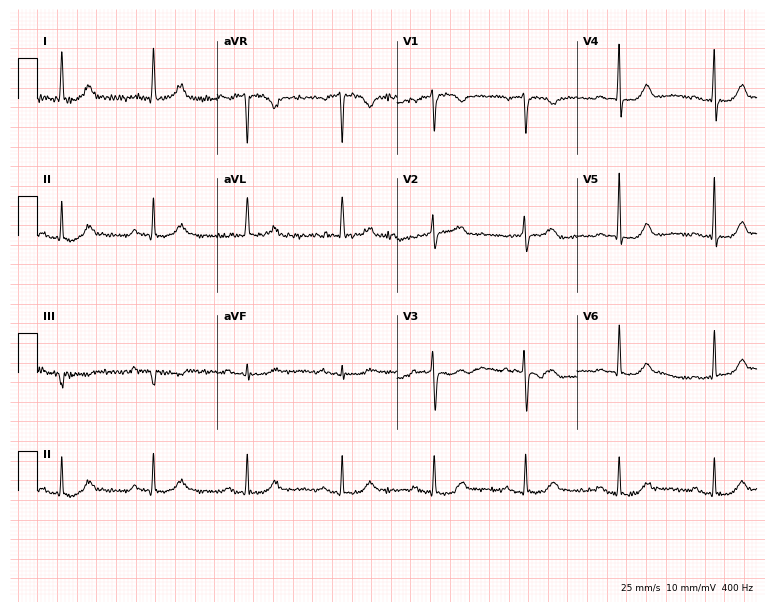
Electrocardiogram, a 73-year-old female patient. Overall reading on record: normal ECG.